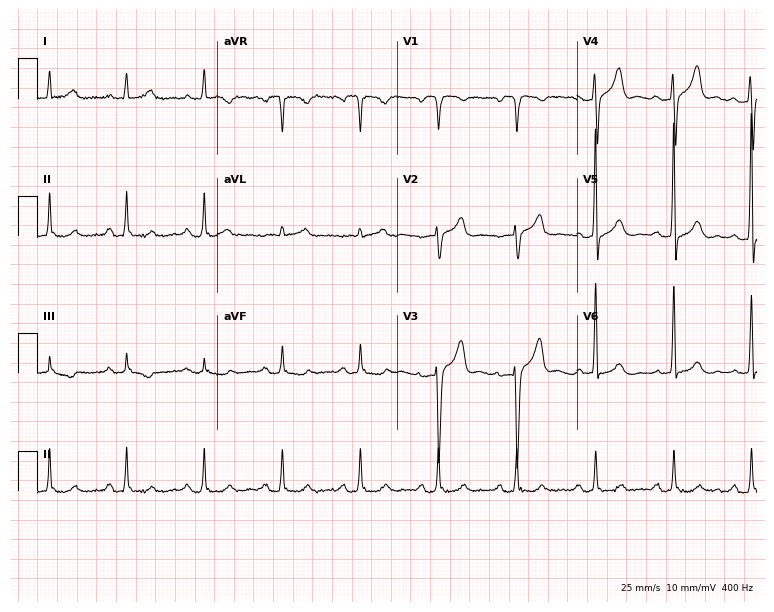
Electrocardiogram (7.3-second recording at 400 Hz), a male, 65 years old. Overall reading on record: normal ECG.